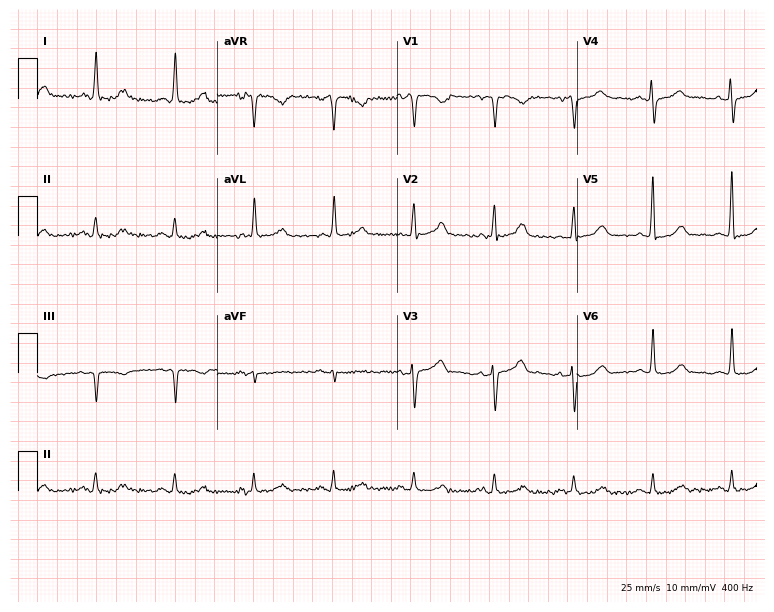
Standard 12-lead ECG recorded from a 71-year-old female patient. None of these six findings is recorded: first-degree AV block, right bundle branch block (RBBB), left bundle branch block (LBBB), sinus bradycardia, atrial fibrillation (AF), sinus tachycardia. Only these six findings were labelled.